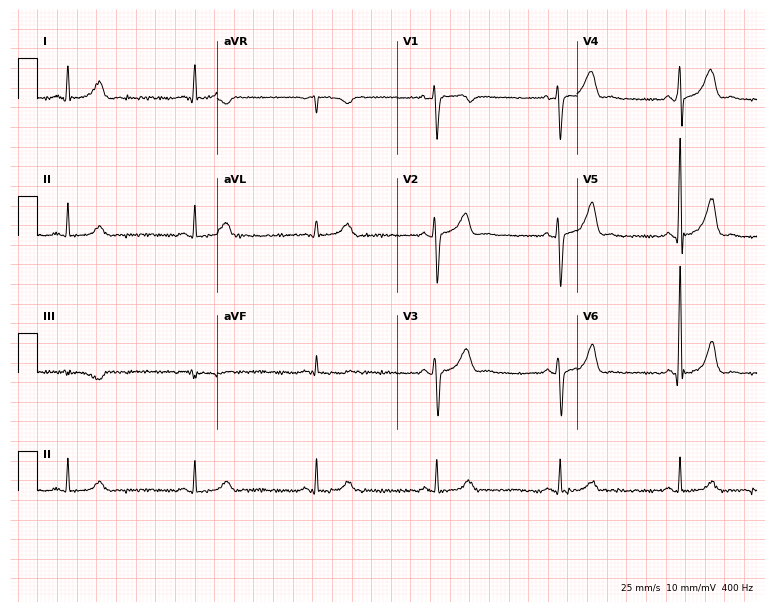
Standard 12-lead ECG recorded from a 62-year-old male. None of these six findings is recorded: first-degree AV block, right bundle branch block, left bundle branch block, sinus bradycardia, atrial fibrillation, sinus tachycardia. Other findings, if any, are not listed.